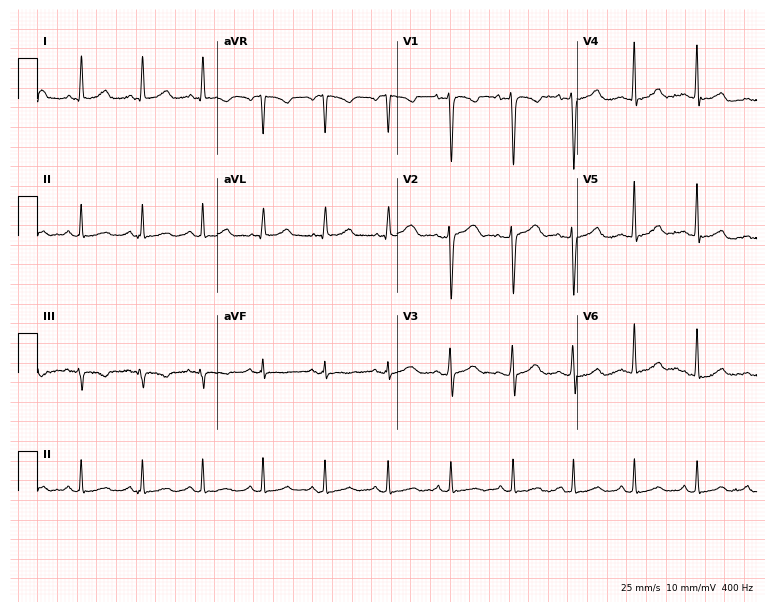
ECG (7.3-second recording at 400 Hz) — a woman, 47 years old. Labelled as a normal ECG.